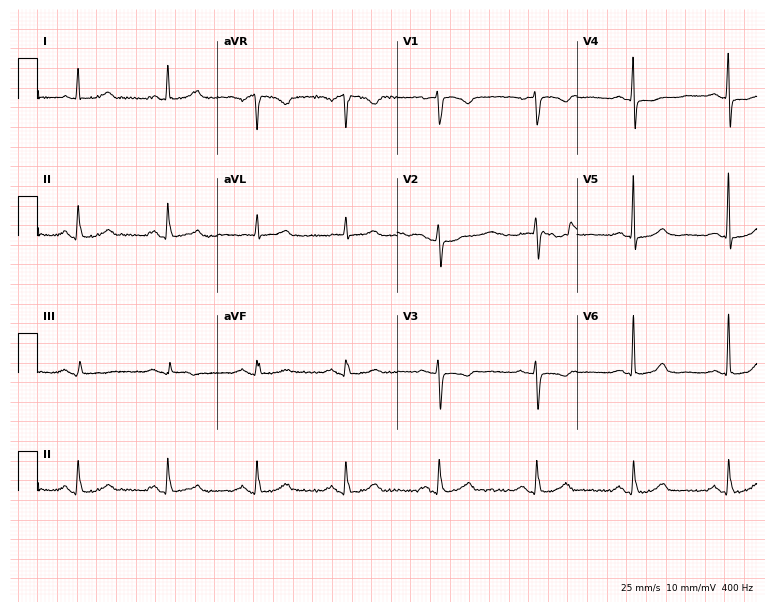
Standard 12-lead ECG recorded from a female patient, 72 years old (7.3-second recording at 400 Hz). Read as a normal ECG.